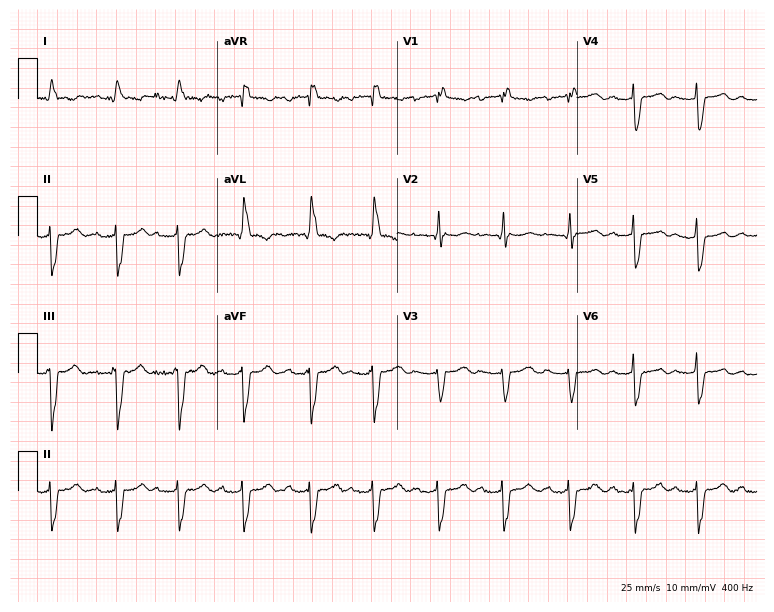
12-lead ECG from a 57-year-old female (7.3-second recording at 400 Hz). Shows first-degree AV block, right bundle branch block.